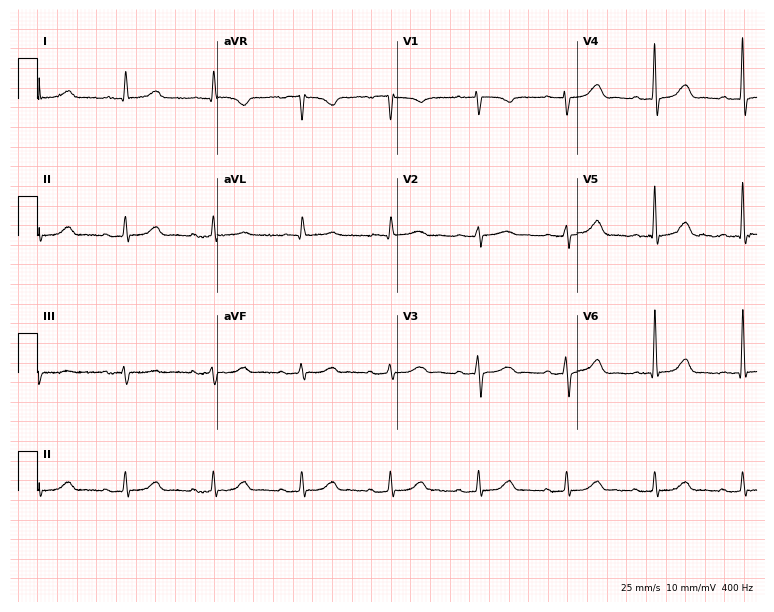
Resting 12-lead electrocardiogram. Patient: a woman, 73 years old. Read as a normal ECG.